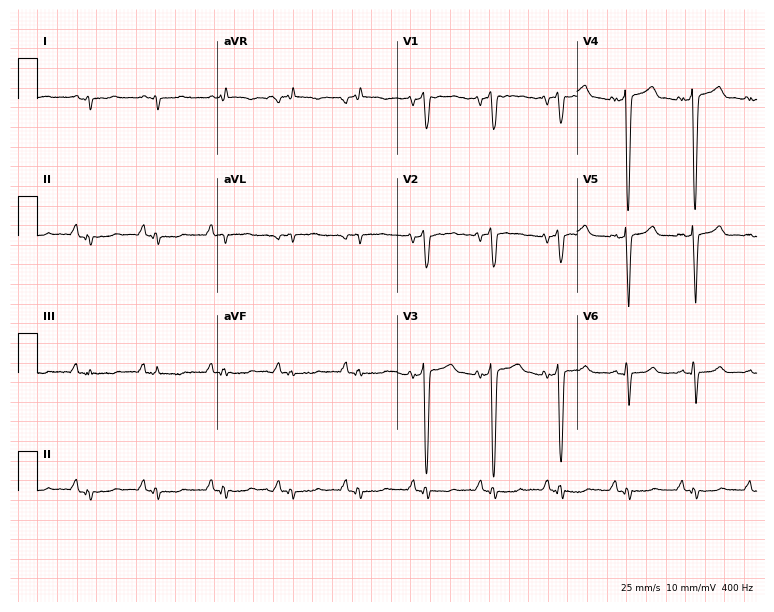
Standard 12-lead ECG recorded from a 79-year-old male patient (7.3-second recording at 400 Hz). None of these six findings is recorded: first-degree AV block, right bundle branch block, left bundle branch block, sinus bradycardia, atrial fibrillation, sinus tachycardia. Findings outside these six are not listed.